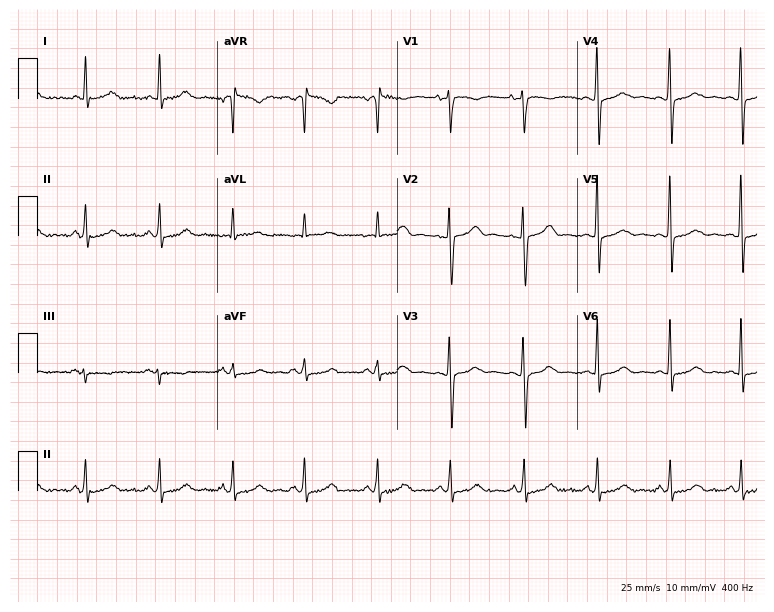
Resting 12-lead electrocardiogram (7.3-second recording at 400 Hz). Patient: a female, 46 years old. Read as a normal ECG.